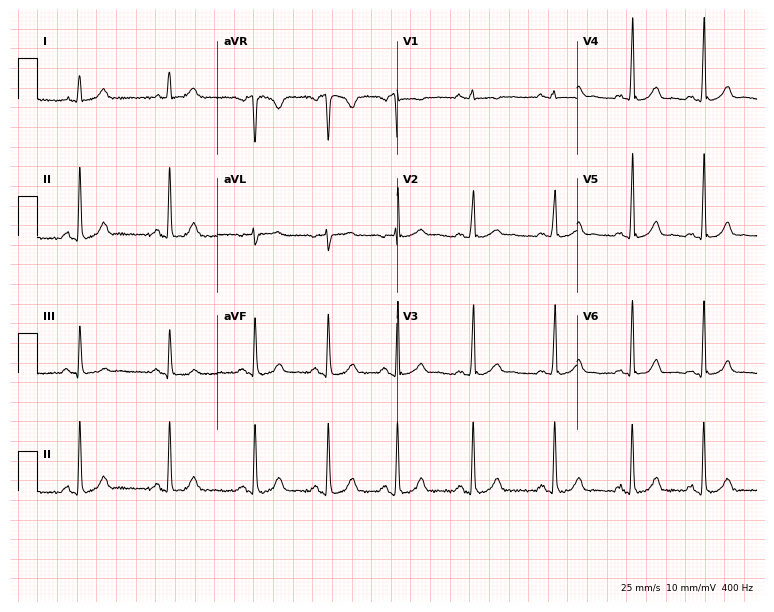
12-lead ECG (7.3-second recording at 400 Hz) from a female patient, 19 years old. Labelled as a normal ECG.